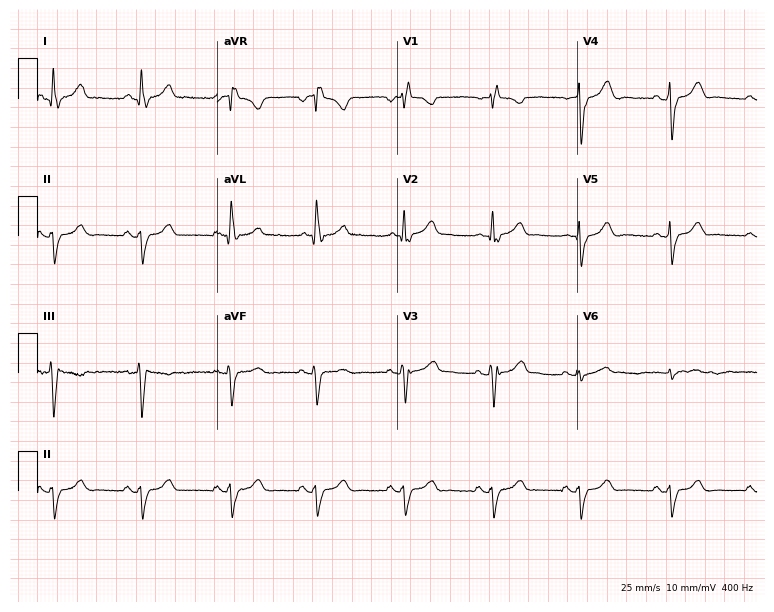
Electrocardiogram, a 57-year-old female patient. Interpretation includes right bundle branch block.